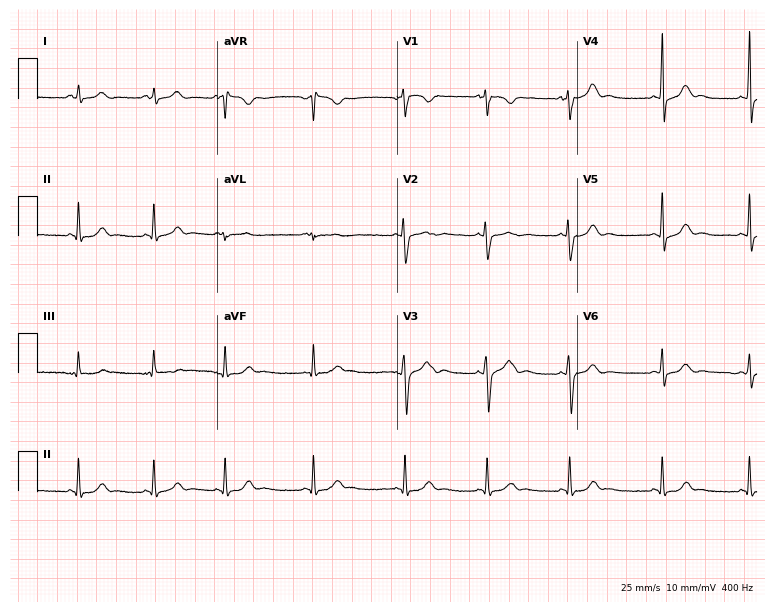
12-lead ECG (7.3-second recording at 400 Hz) from a female, 18 years old. Screened for six findings — first-degree AV block, right bundle branch block, left bundle branch block, sinus bradycardia, atrial fibrillation, sinus tachycardia — none is recorded.